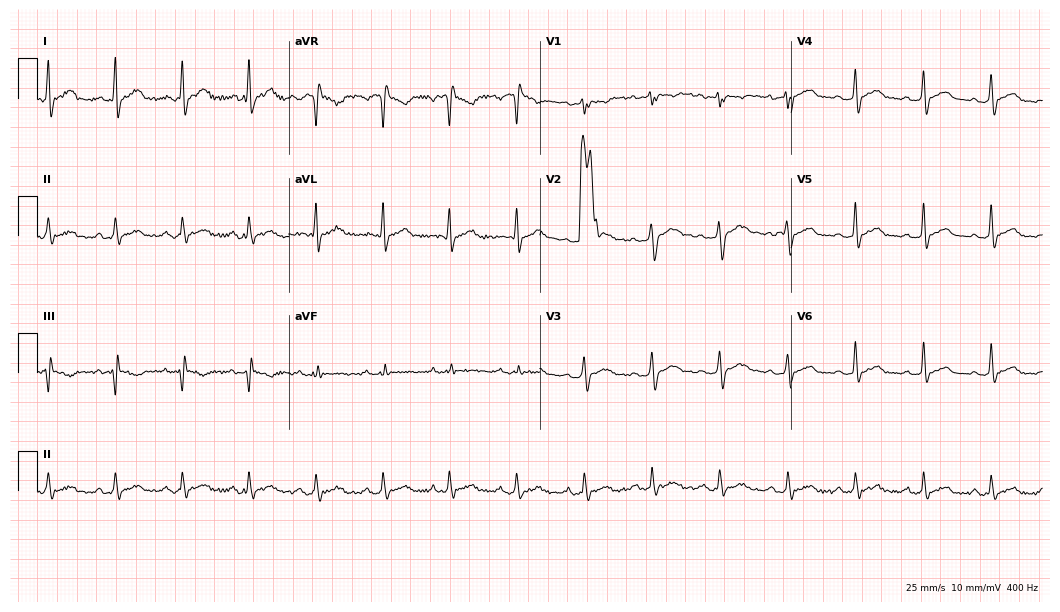
12-lead ECG (10.2-second recording at 400 Hz) from a man, 28 years old. Screened for six findings — first-degree AV block, right bundle branch block (RBBB), left bundle branch block (LBBB), sinus bradycardia, atrial fibrillation (AF), sinus tachycardia — none is recorded.